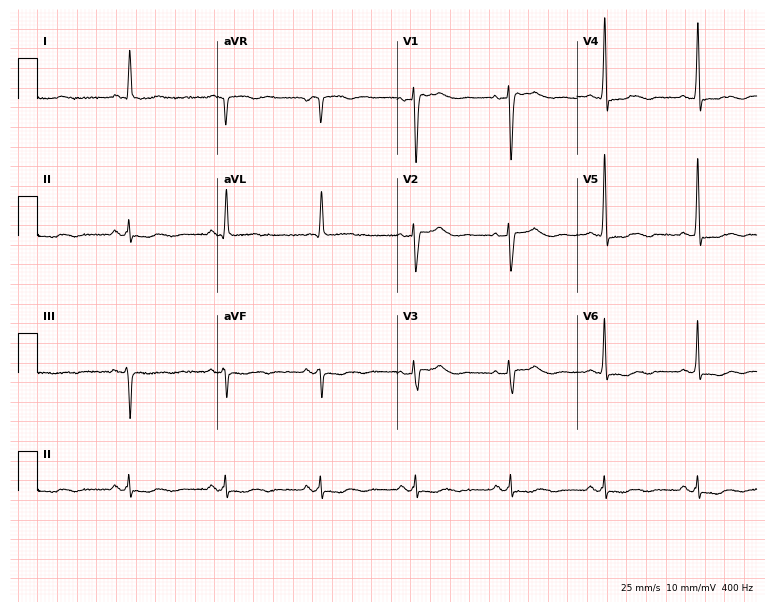
Resting 12-lead electrocardiogram (7.3-second recording at 400 Hz). Patient: a woman, 79 years old. None of these six findings is recorded: first-degree AV block, right bundle branch block, left bundle branch block, sinus bradycardia, atrial fibrillation, sinus tachycardia.